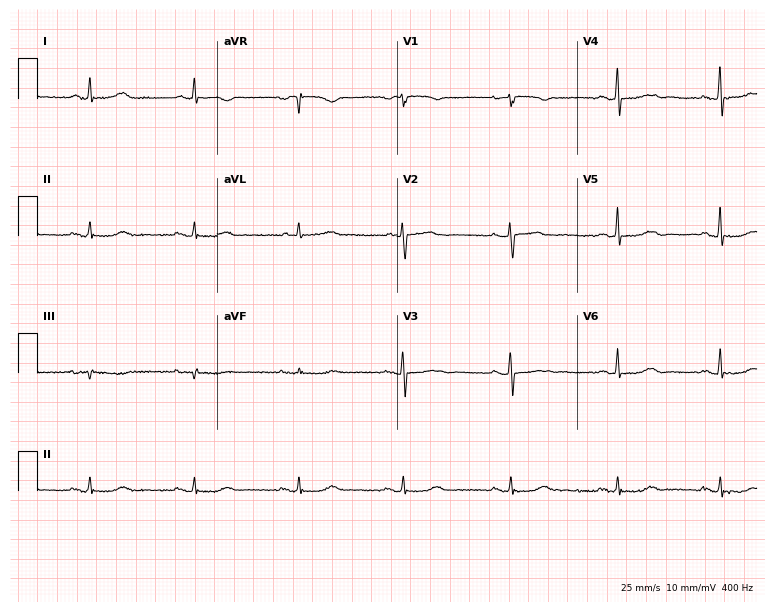
12-lead ECG from a woman, 67 years old (7.3-second recording at 400 Hz). Recorded interpretation: within normal limits.